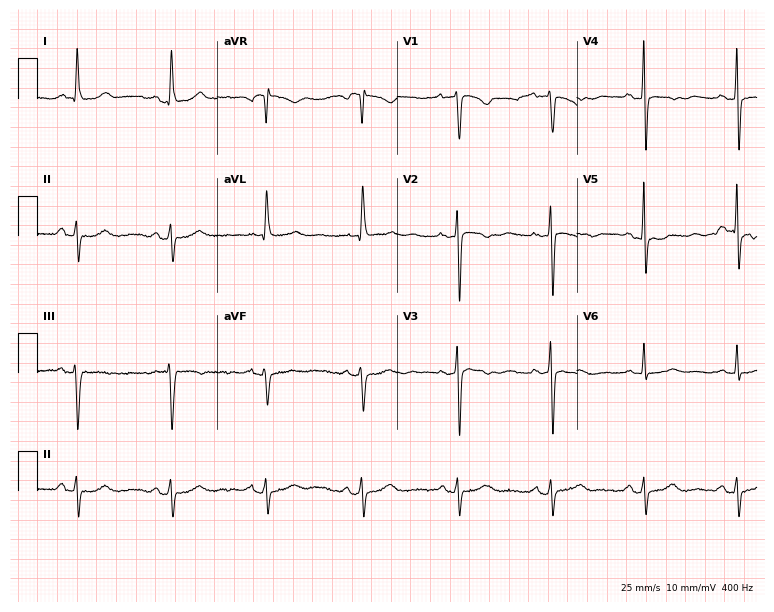
12-lead ECG from a 62-year-old female patient. Screened for six findings — first-degree AV block, right bundle branch block, left bundle branch block, sinus bradycardia, atrial fibrillation, sinus tachycardia — none is recorded.